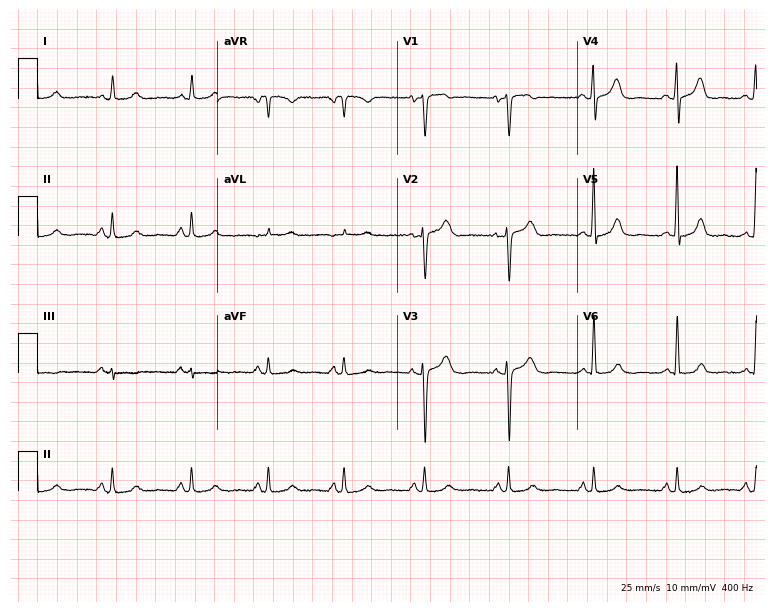
12-lead ECG from a female, 49 years old. Labelled as a normal ECG.